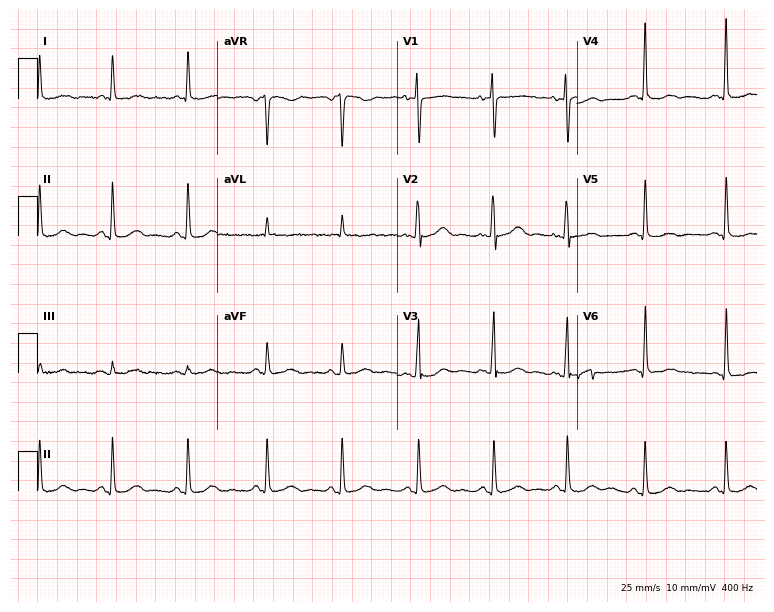
Electrocardiogram, a 65-year-old woman. Of the six screened findings (first-degree AV block, right bundle branch block (RBBB), left bundle branch block (LBBB), sinus bradycardia, atrial fibrillation (AF), sinus tachycardia), none is recorded. Only these six findings were labelled.